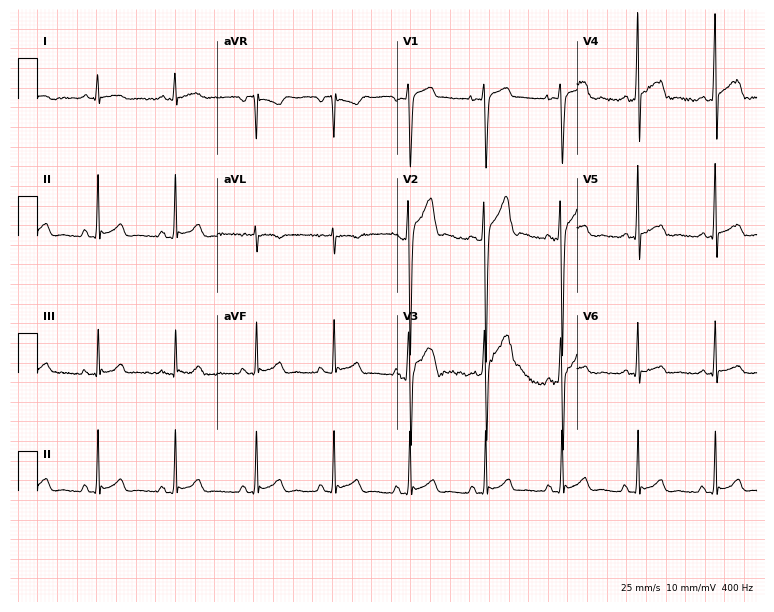
Standard 12-lead ECG recorded from a male, 24 years old. None of these six findings is recorded: first-degree AV block, right bundle branch block, left bundle branch block, sinus bradycardia, atrial fibrillation, sinus tachycardia. Only these six findings were labelled.